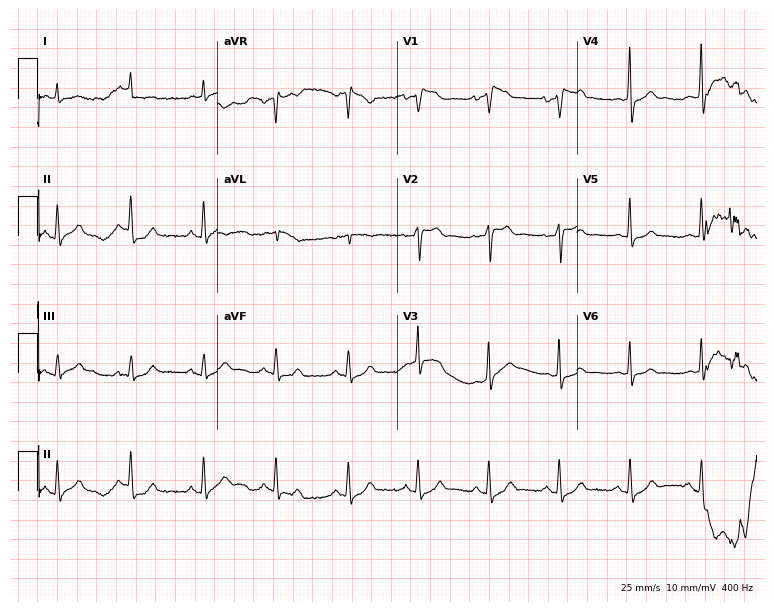
12-lead ECG from a man, 53 years old (7.3-second recording at 400 Hz). No first-degree AV block, right bundle branch block, left bundle branch block, sinus bradycardia, atrial fibrillation or sinus tachycardia recorded for this tracing. Findings outside these six are not listed.